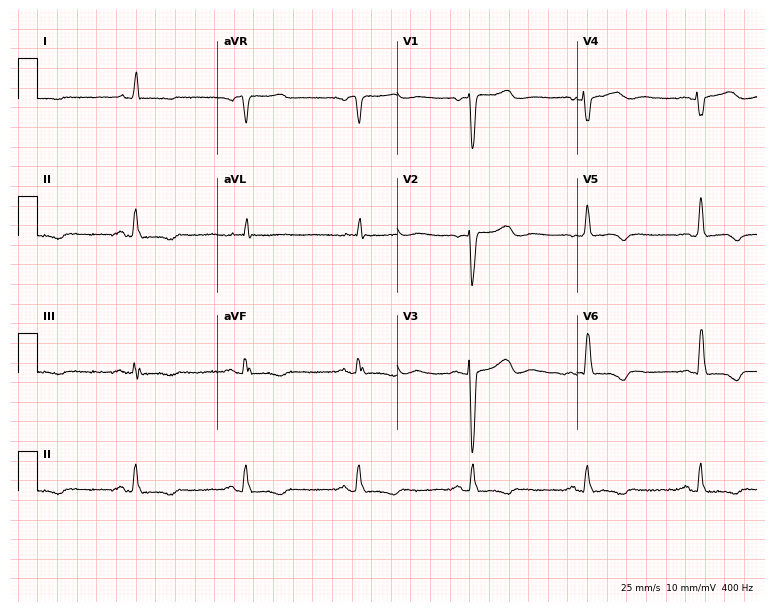
12-lead ECG from a 43-year-old woman. No first-degree AV block, right bundle branch block, left bundle branch block, sinus bradycardia, atrial fibrillation or sinus tachycardia recorded for this tracing.